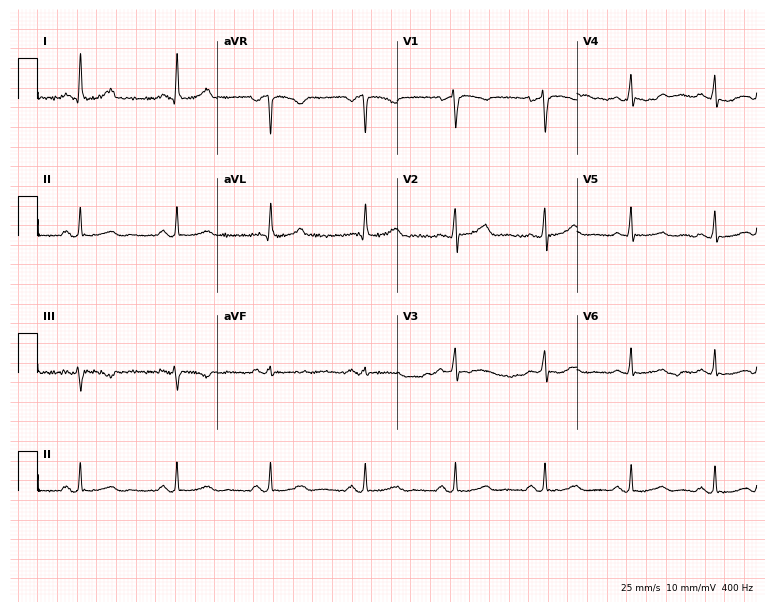
ECG (7.3-second recording at 400 Hz) — a 57-year-old woman. Screened for six findings — first-degree AV block, right bundle branch block (RBBB), left bundle branch block (LBBB), sinus bradycardia, atrial fibrillation (AF), sinus tachycardia — none is recorded.